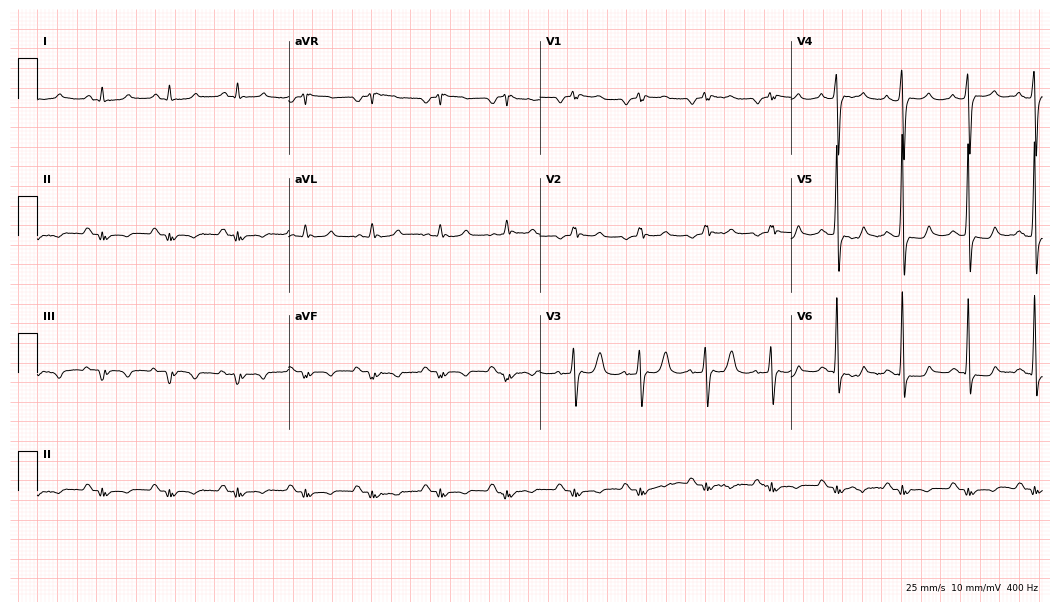
Resting 12-lead electrocardiogram (10.2-second recording at 400 Hz). Patient: a male, 82 years old. None of these six findings is recorded: first-degree AV block, right bundle branch block, left bundle branch block, sinus bradycardia, atrial fibrillation, sinus tachycardia. Only these six findings were labelled.